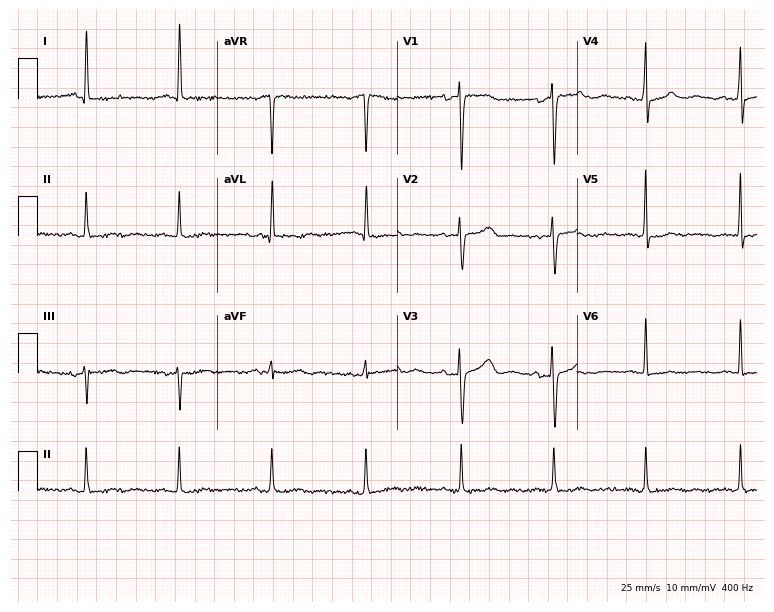
Standard 12-lead ECG recorded from a female, 80 years old. None of these six findings is recorded: first-degree AV block, right bundle branch block (RBBB), left bundle branch block (LBBB), sinus bradycardia, atrial fibrillation (AF), sinus tachycardia. Findings outside these six are not listed.